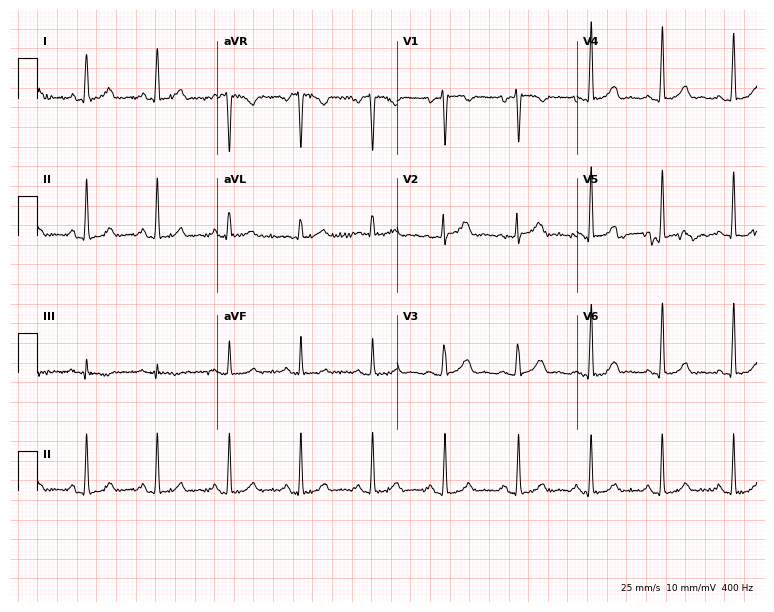
Resting 12-lead electrocardiogram. Patient: a female, 30 years old. Read as a normal ECG.